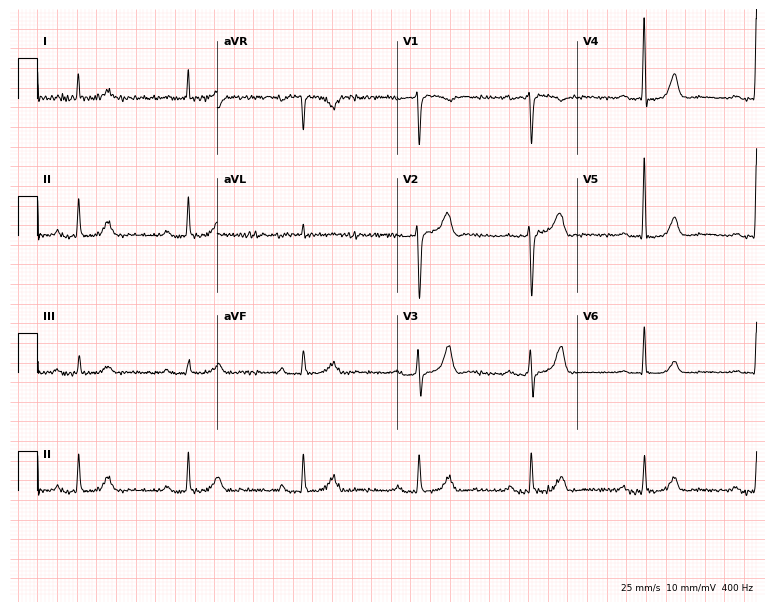
Resting 12-lead electrocardiogram (7.3-second recording at 400 Hz). Patient: a man, 78 years old. Read as a normal ECG.